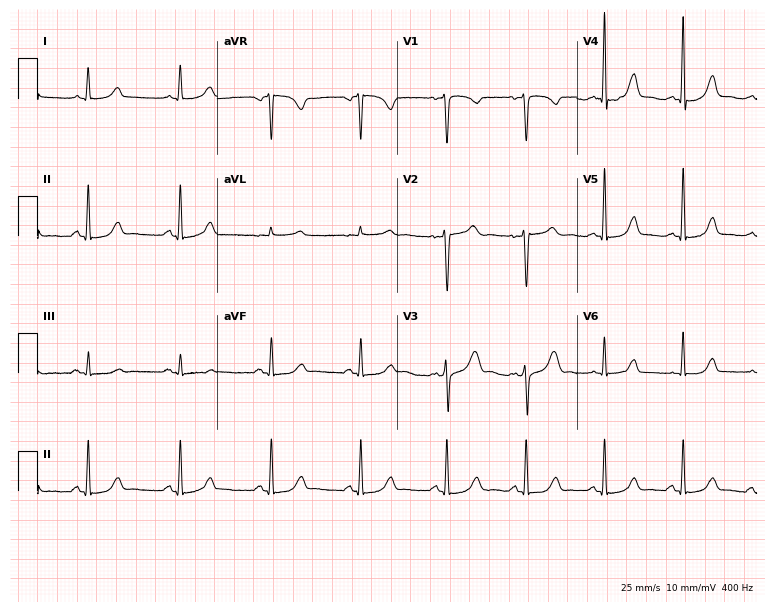
Standard 12-lead ECG recorded from a female, 47 years old (7.3-second recording at 400 Hz). Read as a normal ECG.